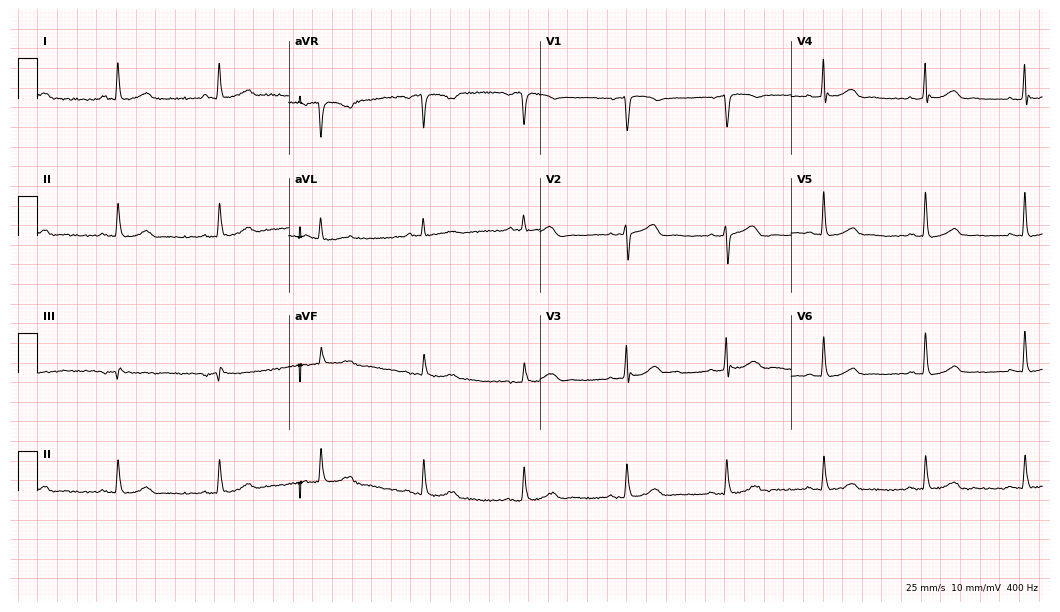
12-lead ECG from a 64-year-old female (10.2-second recording at 400 Hz). Recorded interpretation: within normal limits.